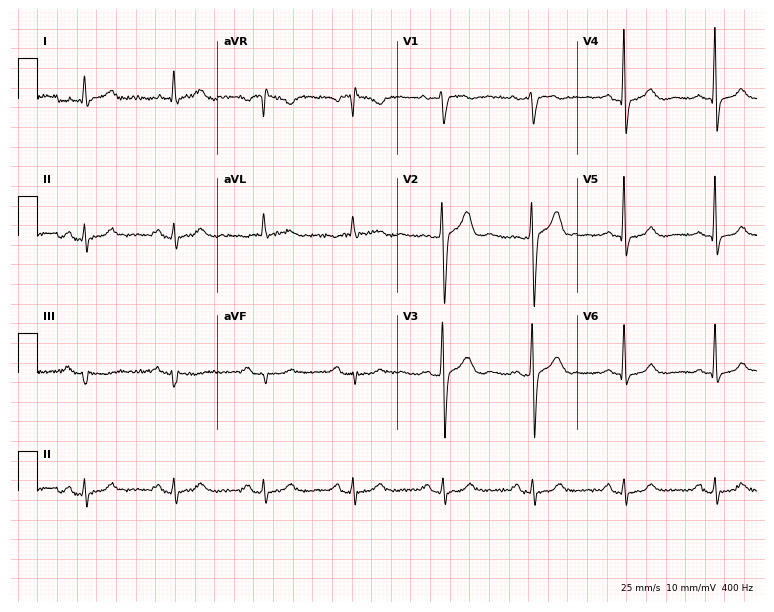
ECG — a male patient, 60 years old. Labelled as a normal ECG.